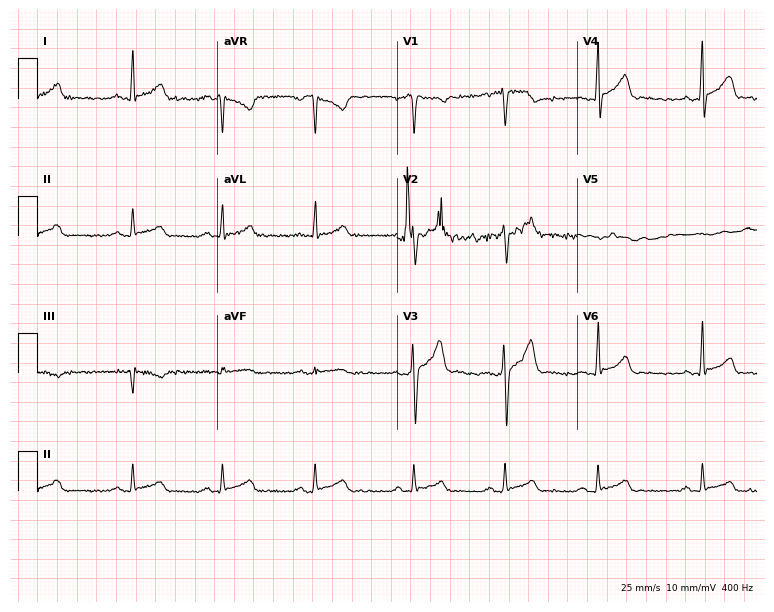
12-lead ECG from a 23-year-old man (7.3-second recording at 400 Hz). No first-degree AV block, right bundle branch block, left bundle branch block, sinus bradycardia, atrial fibrillation or sinus tachycardia recorded for this tracing.